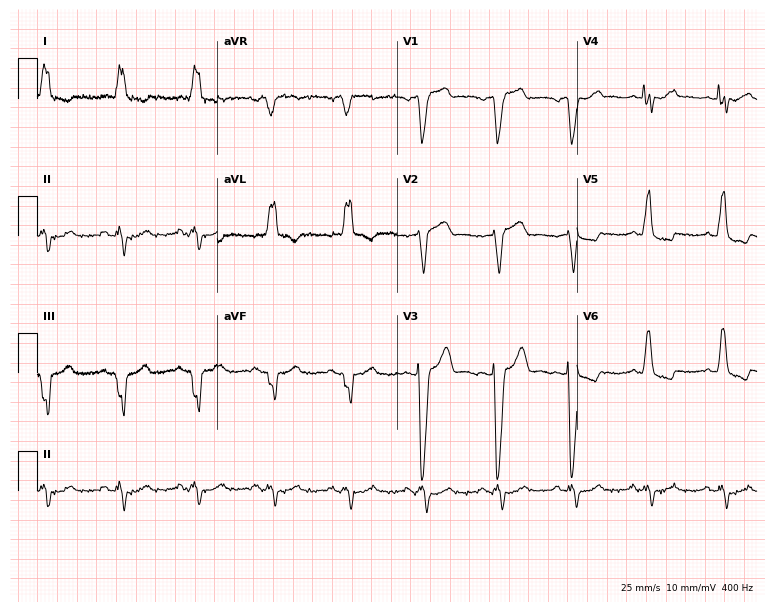
12-lead ECG (7.3-second recording at 400 Hz) from a male, 76 years old. Findings include left bundle branch block.